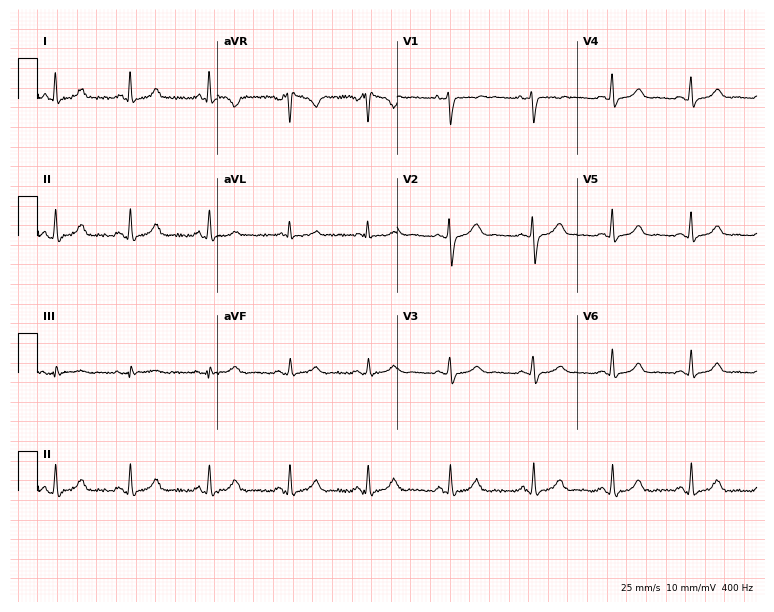
ECG (7.3-second recording at 400 Hz) — a female patient, 41 years old. Labelled as a normal ECG.